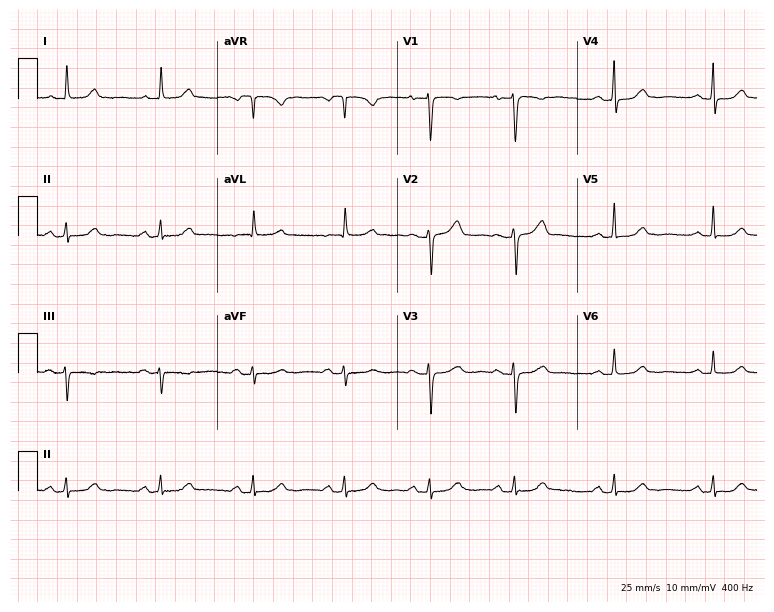
12-lead ECG from a 76-year-old female. Recorded interpretation: within normal limits.